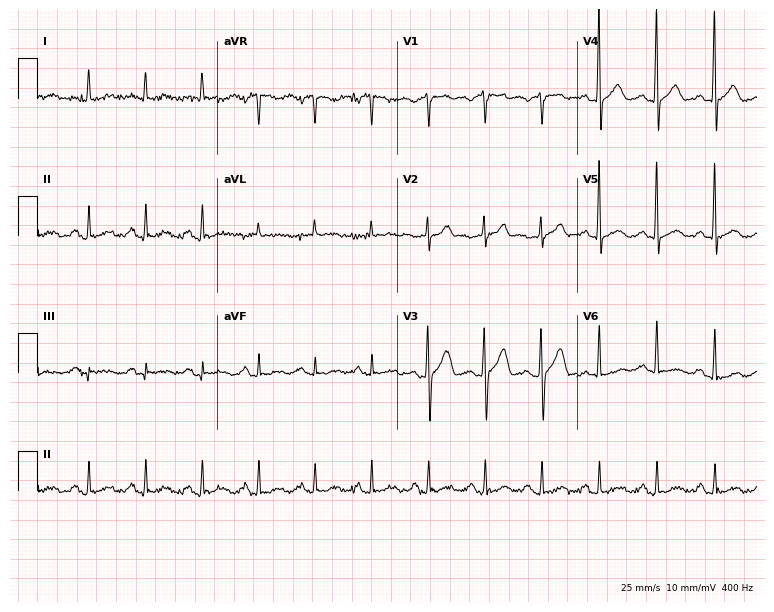
Electrocardiogram (7.3-second recording at 400 Hz), a 59-year-old female patient. Interpretation includes sinus tachycardia (a sinus rate of 100 beats per minute or more).